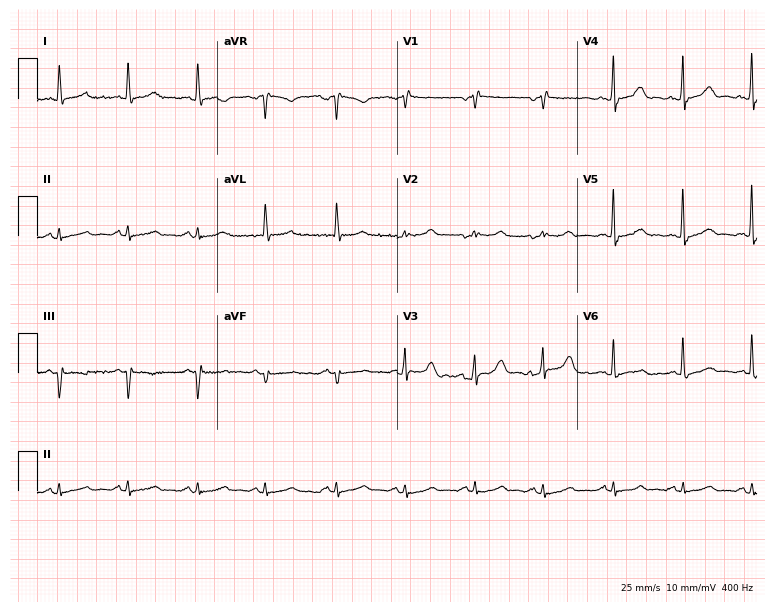
Resting 12-lead electrocardiogram. Patient: a female, 71 years old. None of these six findings is recorded: first-degree AV block, right bundle branch block, left bundle branch block, sinus bradycardia, atrial fibrillation, sinus tachycardia. Other findings, if any, are not listed.